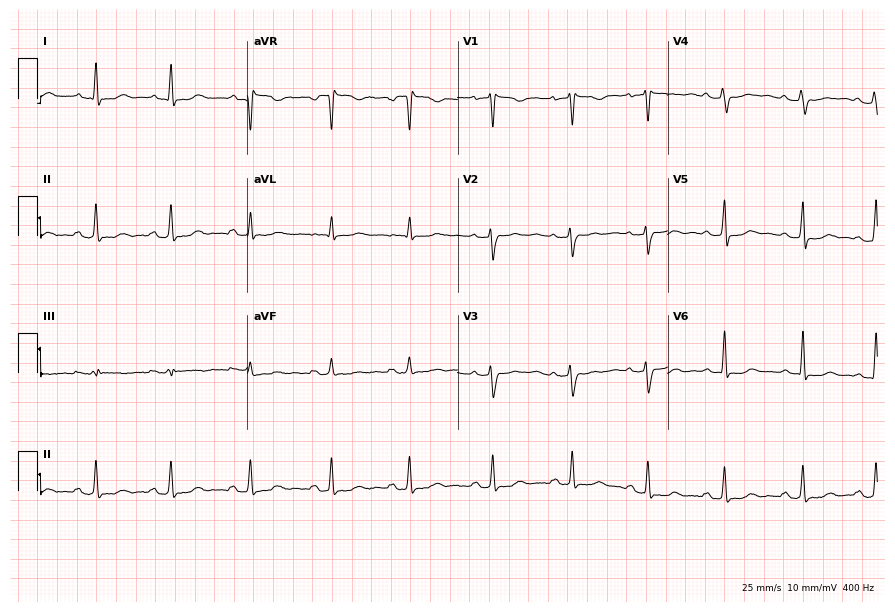
12-lead ECG from a female patient, 33 years old (8.6-second recording at 400 Hz). No first-degree AV block, right bundle branch block (RBBB), left bundle branch block (LBBB), sinus bradycardia, atrial fibrillation (AF) or sinus tachycardia recorded for this tracing.